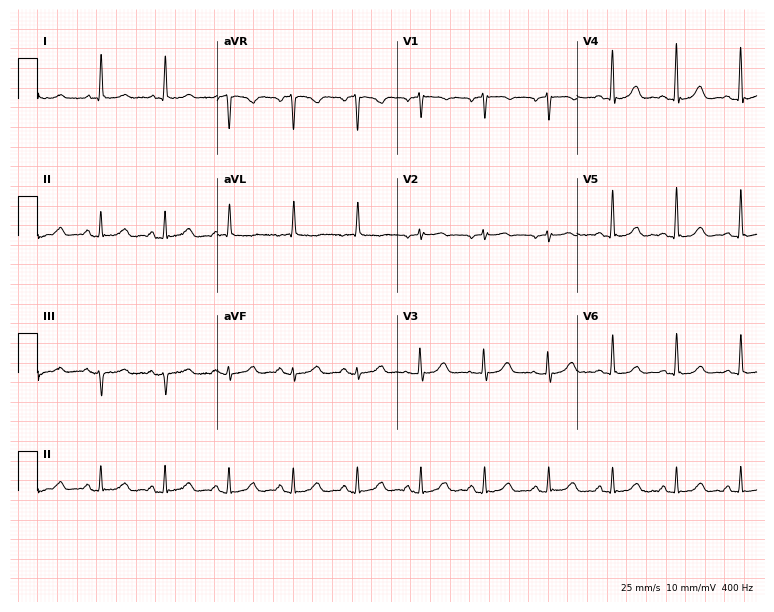
12-lead ECG from a female patient, 72 years old. Screened for six findings — first-degree AV block, right bundle branch block, left bundle branch block, sinus bradycardia, atrial fibrillation, sinus tachycardia — none is recorded. Only these six findings were labelled.